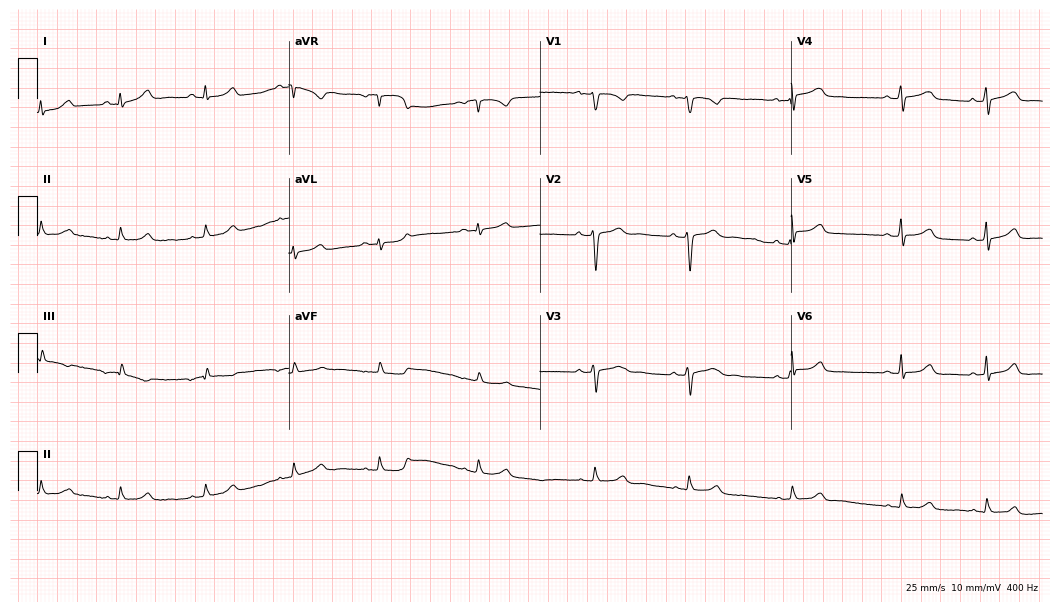
12-lead ECG from a female, 25 years old. Recorded interpretation: within normal limits.